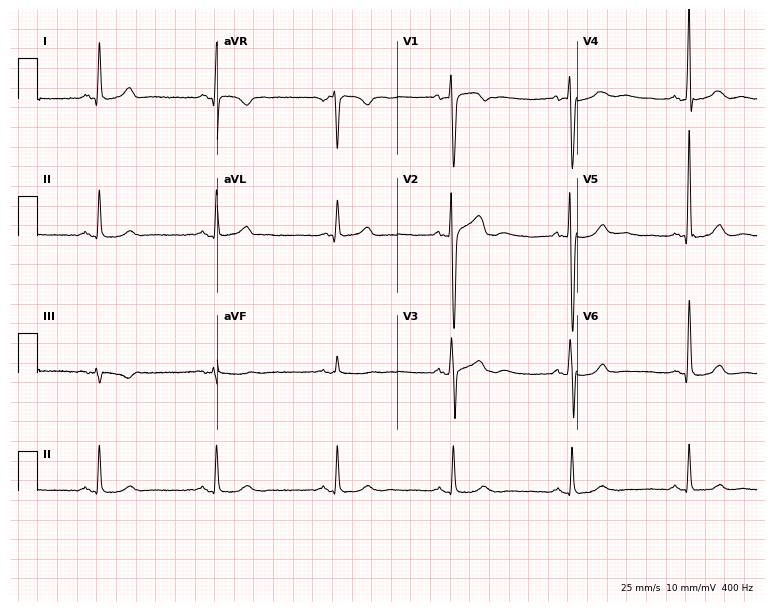
12-lead ECG from a 39-year-old male. Recorded interpretation: within normal limits.